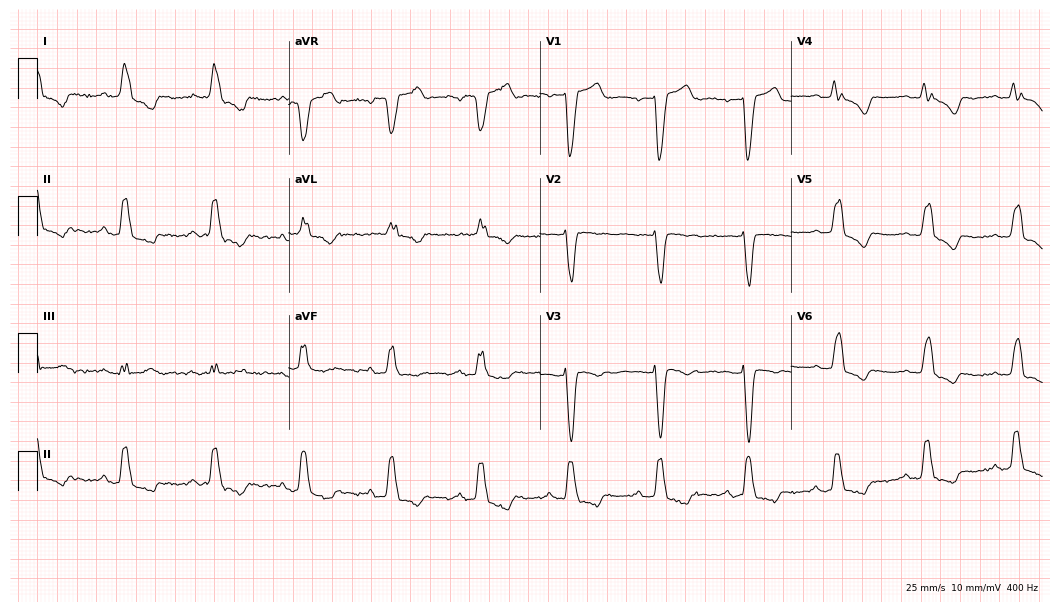
12-lead ECG (10.2-second recording at 400 Hz) from a 79-year-old woman. Screened for six findings — first-degree AV block, right bundle branch block, left bundle branch block, sinus bradycardia, atrial fibrillation, sinus tachycardia — none is recorded.